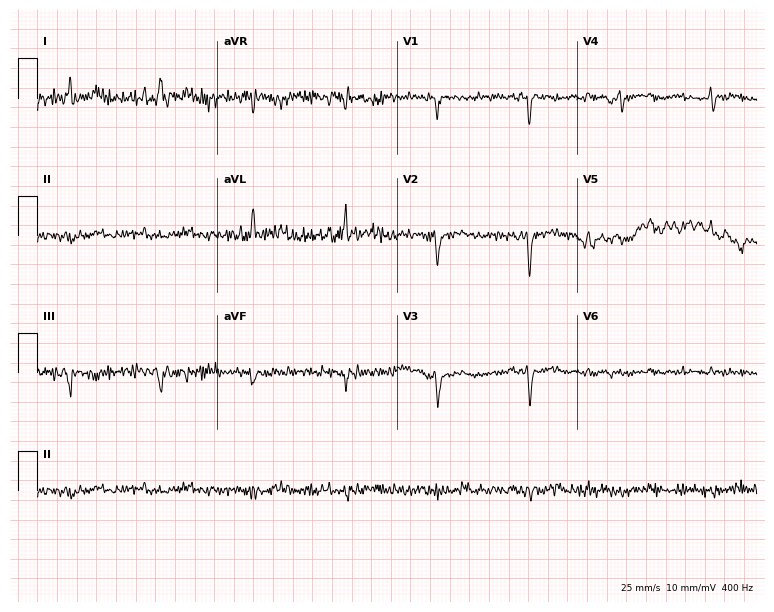
12-lead ECG from a male, 75 years old. No first-degree AV block, right bundle branch block, left bundle branch block, sinus bradycardia, atrial fibrillation or sinus tachycardia recorded for this tracing. Only these six findings were labelled.